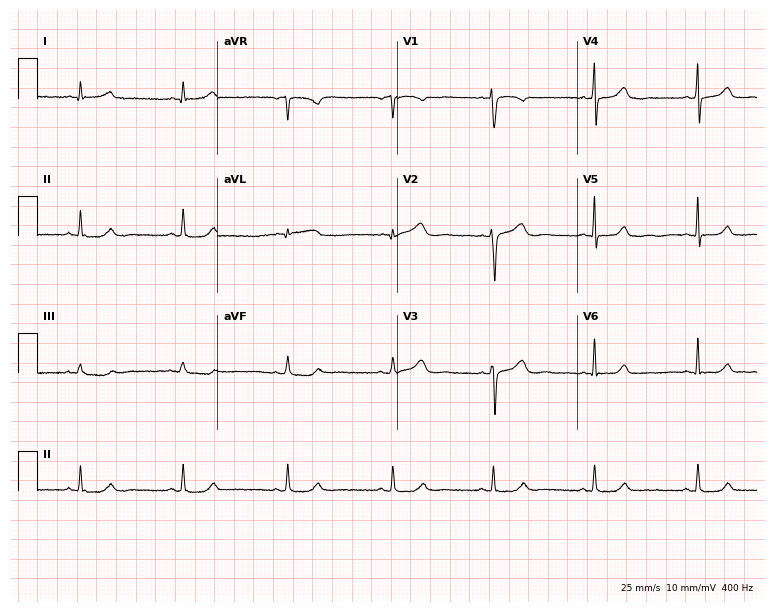
12-lead ECG from a 38-year-old woman. Labelled as a normal ECG.